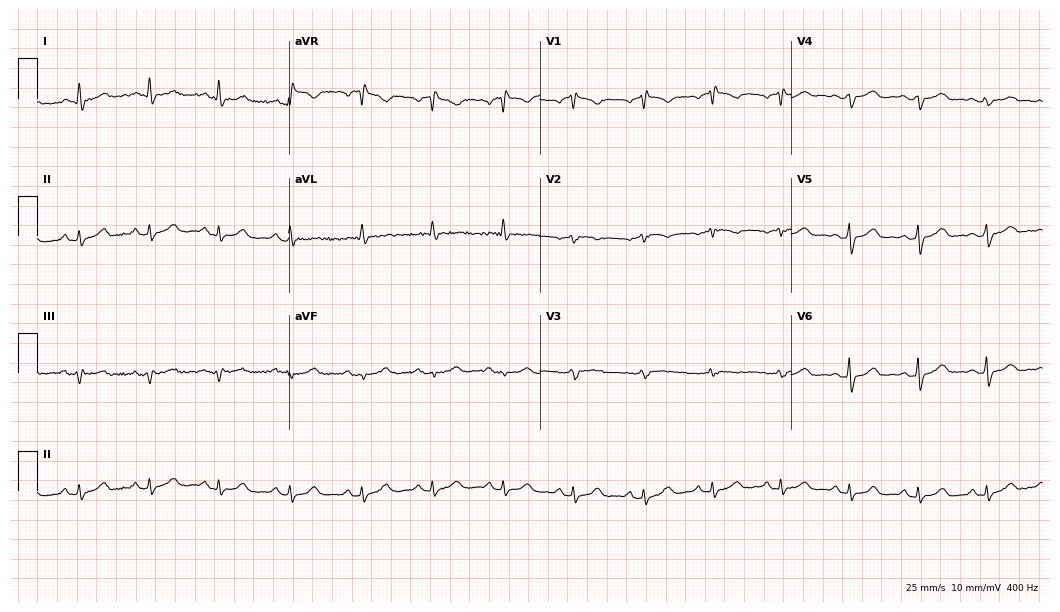
Standard 12-lead ECG recorded from a woman, 56 years old (10.2-second recording at 400 Hz). Read as a normal ECG.